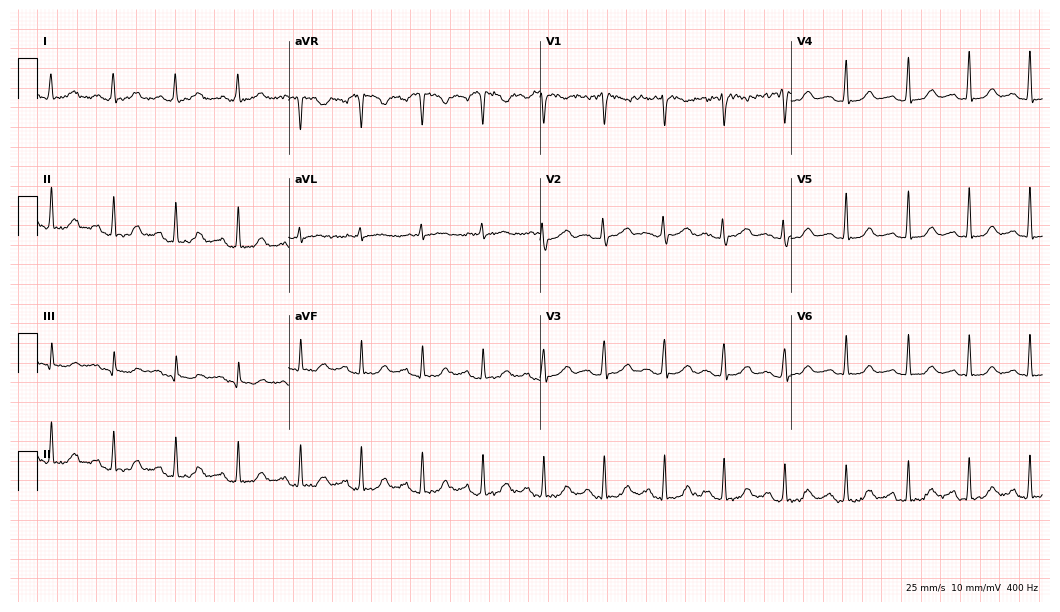
Electrocardiogram, a female, 46 years old. Of the six screened findings (first-degree AV block, right bundle branch block, left bundle branch block, sinus bradycardia, atrial fibrillation, sinus tachycardia), none is recorded. Only these six findings were labelled.